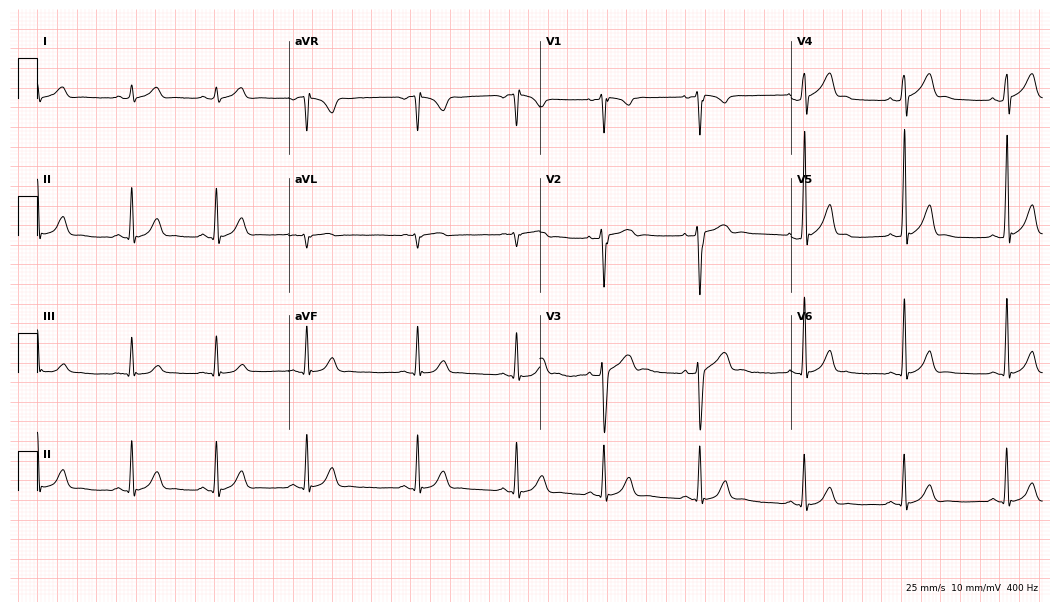
Electrocardiogram, a male, 28 years old. Of the six screened findings (first-degree AV block, right bundle branch block, left bundle branch block, sinus bradycardia, atrial fibrillation, sinus tachycardia), none is recorded. Other findings, if any, are not listed.